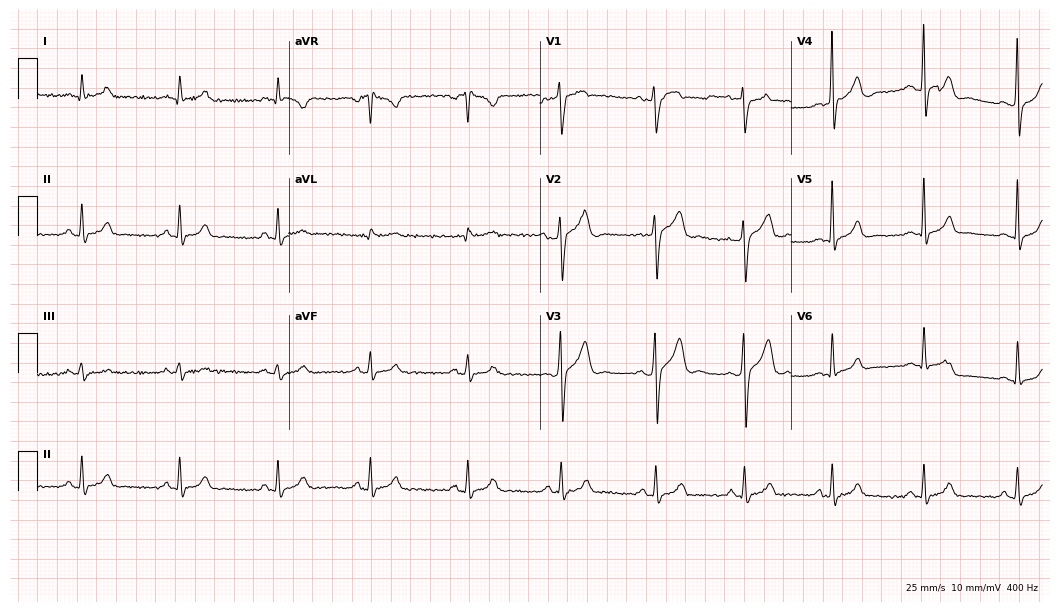
Resting 12-lead electrocardiogram. Patient: a 25-year-old male. Read as a normal ECG.